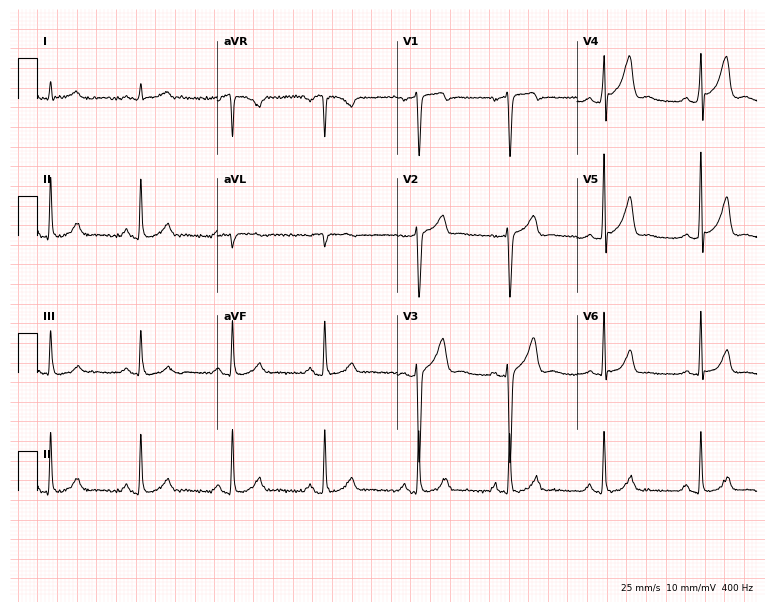
Standard 12-lead ECG recorded from a male, 41 years old. Read as a normal ECG.